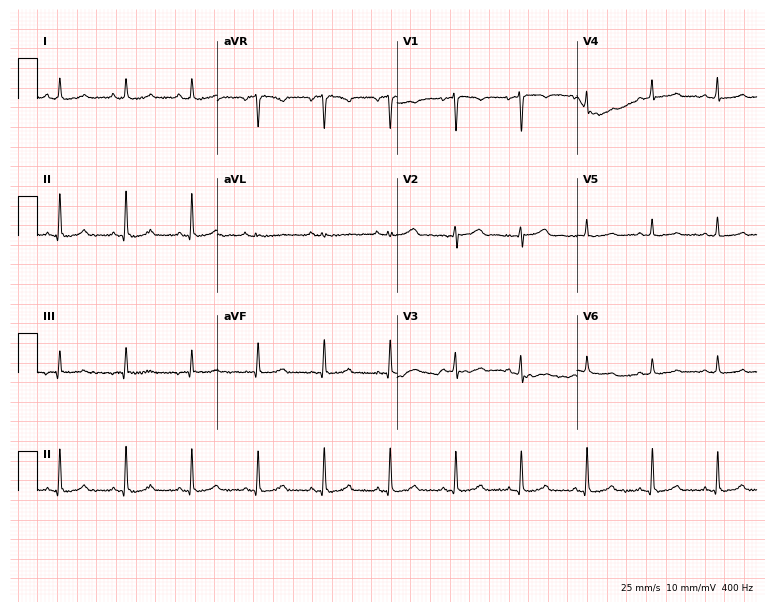
Resting 12-lead electrocardiogram (7.3-second recording at 400 Hz). Patient: a 49-year-old woman. None of these six findings is recorded: first-degree AV block, right bundle branch block (RBBB), left bundle branch block (LBBB), sinus bradycardia, atrial fibrillation (AF), sinus tachycardia. Findings outside these six are not listed.